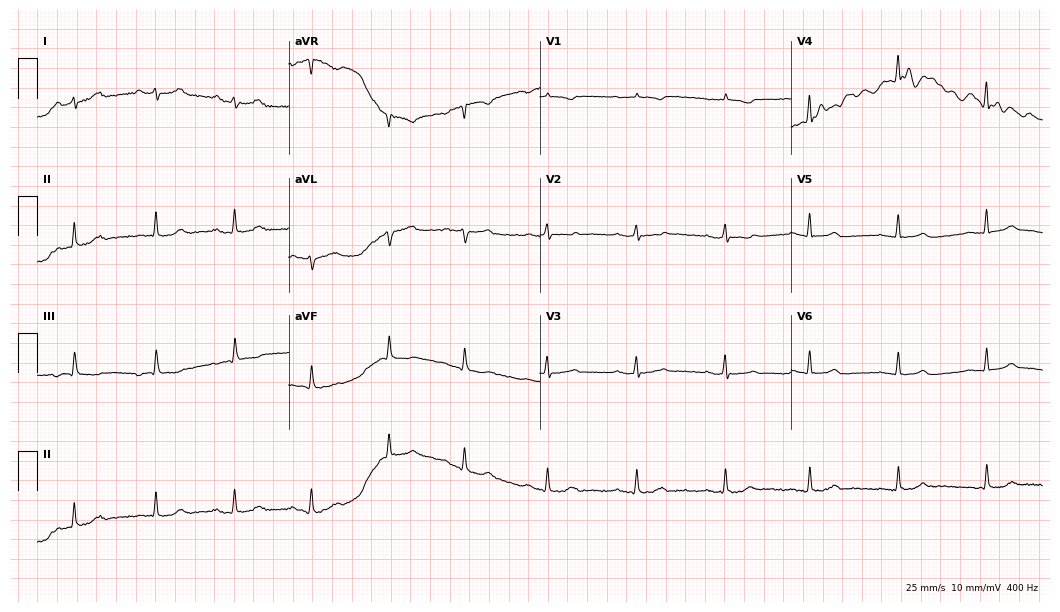
Standard 12-lead ECG recorded from a 35-year-old female (10.2-second recording at 400 Hz). Read as a normal ECG.